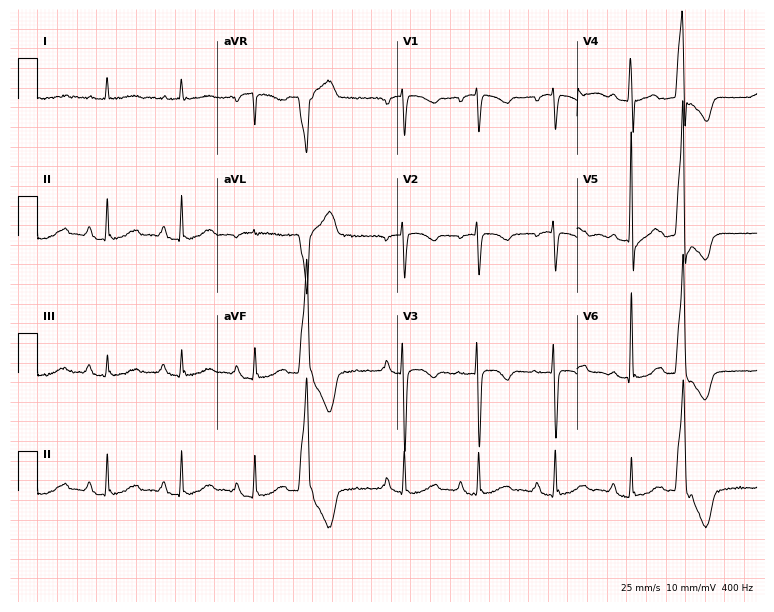
ECG (7.3-second recording at 400 Hz) — a 75-year-old female patient. Screened for six findings — first-degree AV block, right bundle branch block, left bundle branch block, sinus bradycardia, atrial fibrillation, sinus tachycardia — none is recorded. Other findings, if any, are not listed.